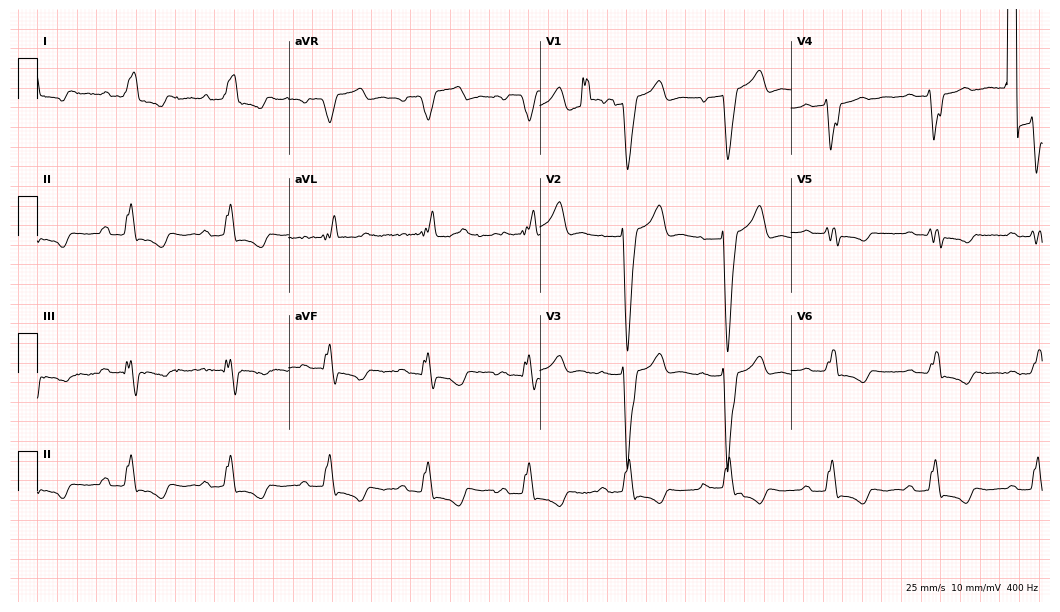
12-lead ECG from a 58-year-old woman (10.2-second recording at 400 Hz). No first-degree AV block, right bundle branch block, left bundle branch block, sinus bradycardia, atrial fibrillation or sinus tachycardia recorded for this tracing.